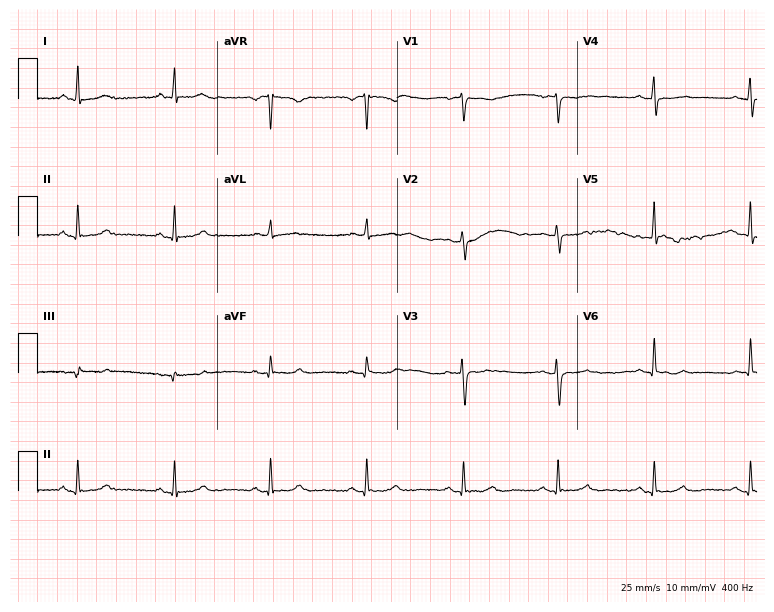
Electrocardiogram (7.3-second recording at 400 Hz), a 57-year-old woman. Overall reading on record: normal ECG.